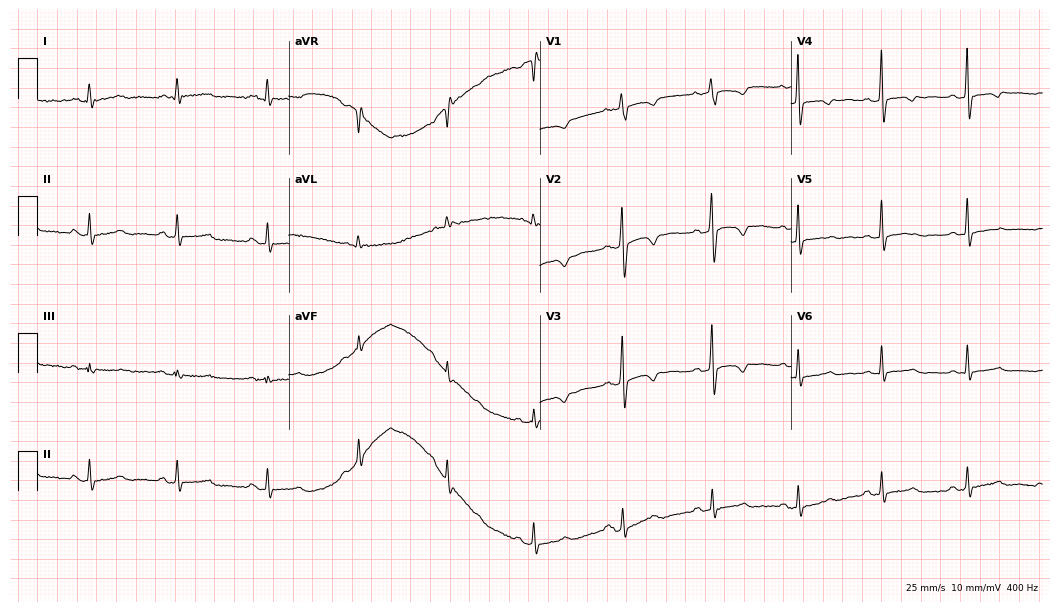
Electrocardiogram, a female, 41 years old. Of the six screened findings (first-degree AV block, right bundle branch block, left bundle branch block, sinus bradycardia, atrial fibrillation, sinus tachycardia), none is recorded.